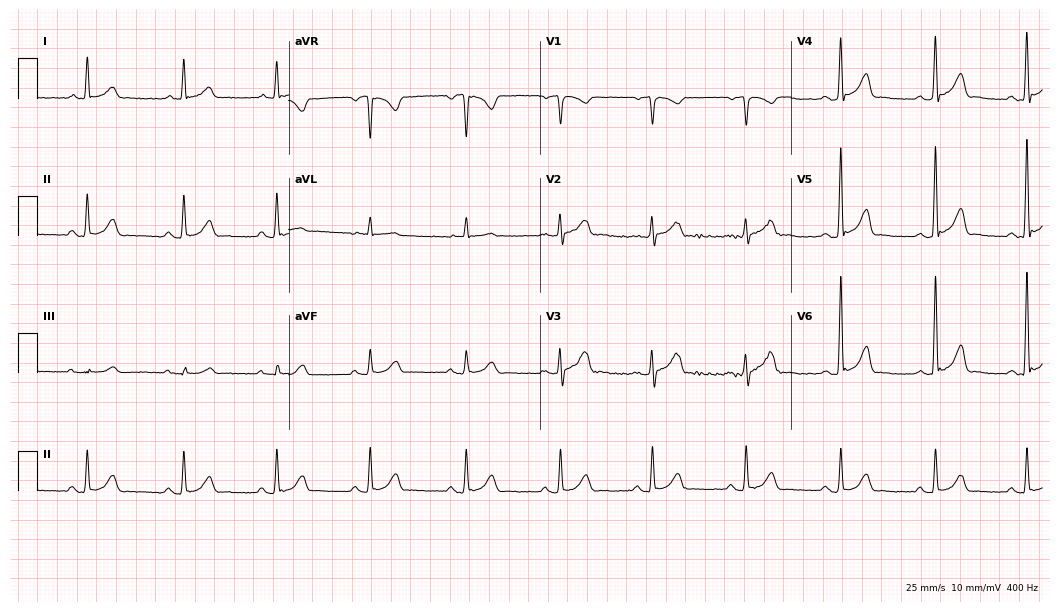
Standard 12-lead ECG recorded from a male, 61 years old. None of these six findings is recorded: first-degree AV block, right bundle branch block, left bundle branch block, sinus bradycardia, atrial fibrillation, sinus tachycardia. Only these six findings were labelled.